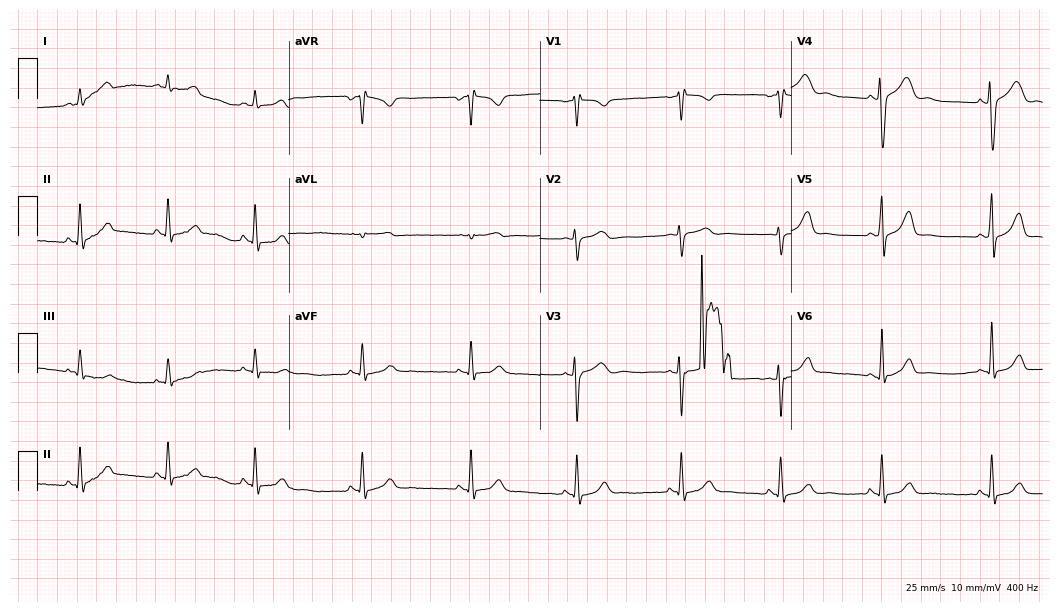
Resting 12-lead electrocardiogram. Patient: a woman, 29 years old. None of these six findings is recorded: first-degree AV block, right bundle branch block, left bundle branch block, sinus bradycardia, atrial fibrillation, sinus tachycardia.